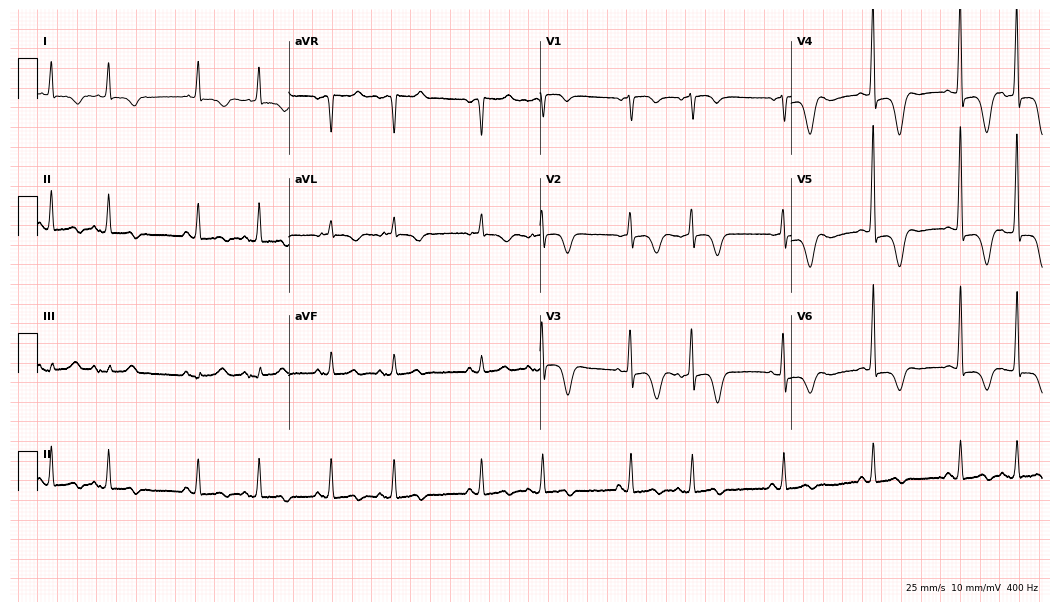
12-lead ECG from a woman, 85 years old. Screened for six findings — first-degree AV block, right bundle branch block, left bundle branch block, sinus bradycardia, atrial fibrillation, sinus tachycardia — none is recorded.